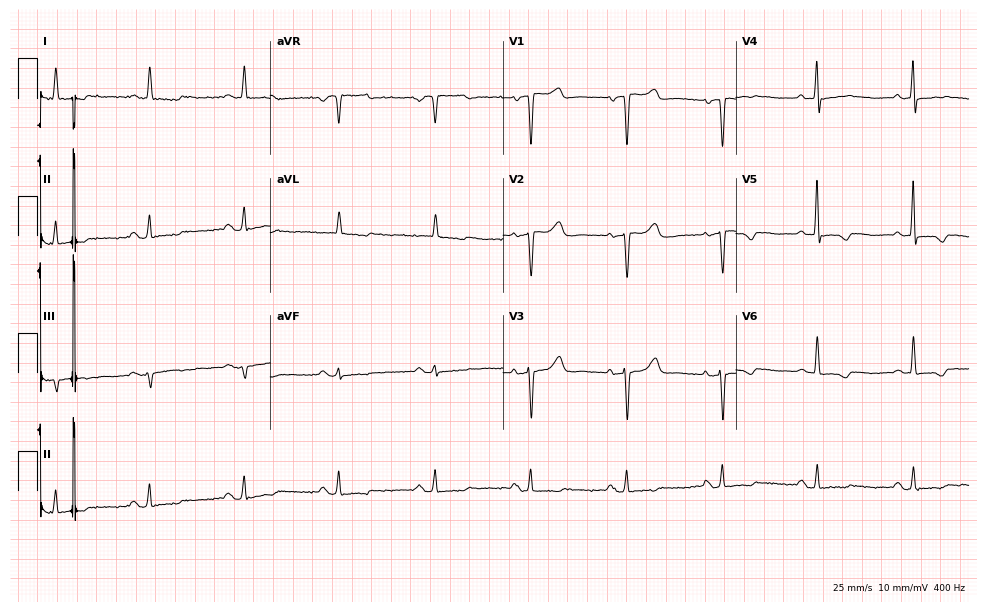
ECG — a 72-year-old female patient. Screened for six findings — first-degree AV block, right bundle branch block, left bundle branch block, sinus bradycardia, atrial fibrillation, sinus tachycardia — none is recorded. Findings outside these six are not listed.